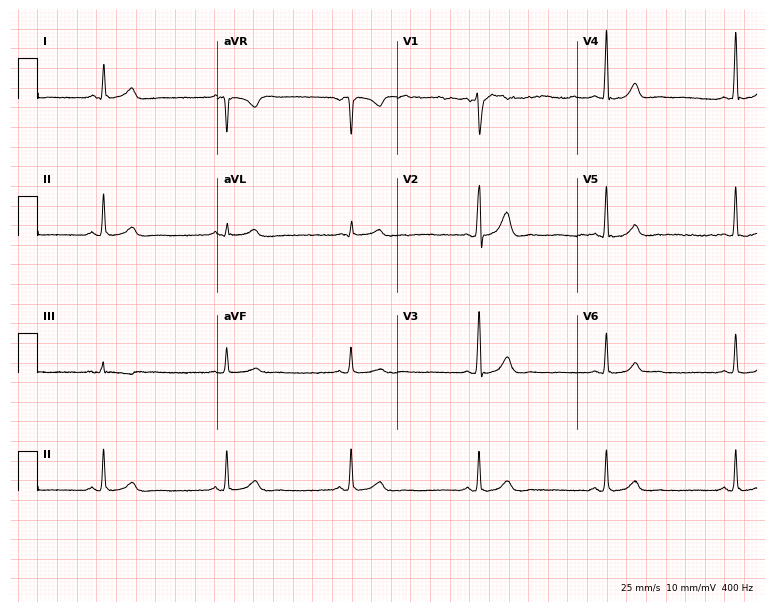
12-lead ECG (7.3-second recording at 400 Hz) from a 52-year-old male. Findings include sinus bradycardia (a sinus rate of 50 beats per minute or less).